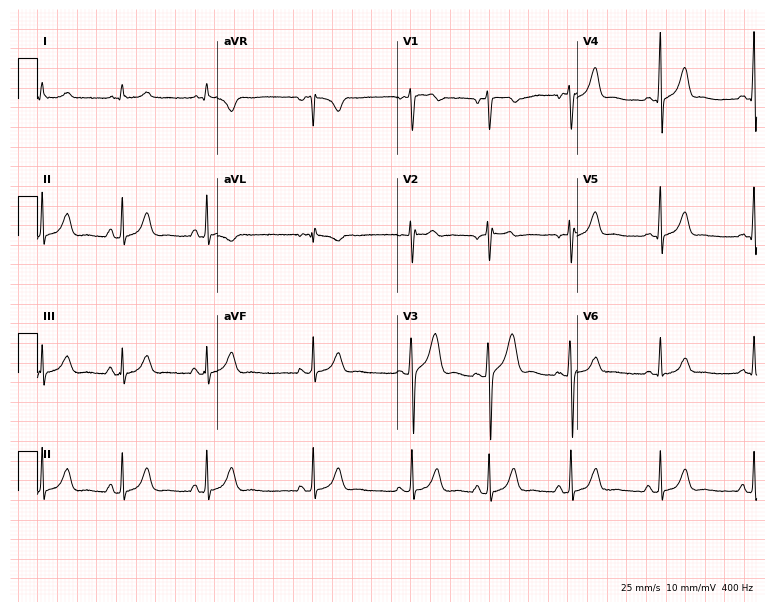
Electrocardiogram (7.3-second recording at 400 Hz), a male, 23 years old. Overall reading on record: normal ECG.